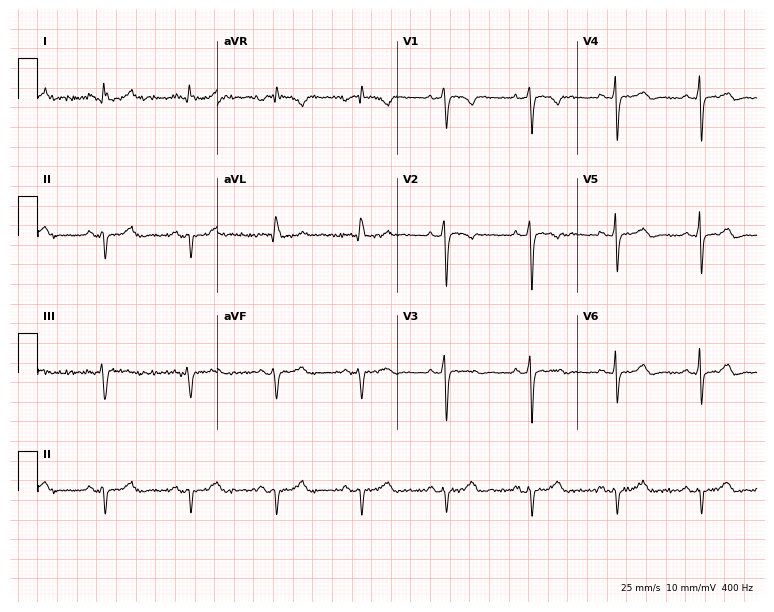
ECG — a 68-year-old female patient. Screened for six findings — first-degree AV block, right bundle branch block, left bundle branch block, sinus bradycardia, atrial fibrillation, sinus tachycardia — none is recorded.